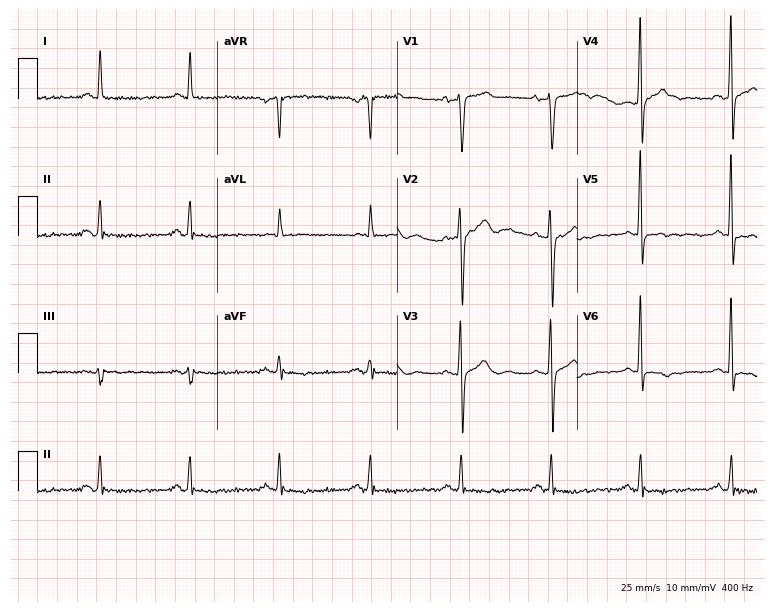
12-lead ECG from a 75-year-old male patient. Screened for six findings — first-degree AV block, right bundle branch block, left bundle branch block, sinus bradycardia, atrial fibrillation, sinus tachycardia — none is recorded. Only these six findings were labelled.